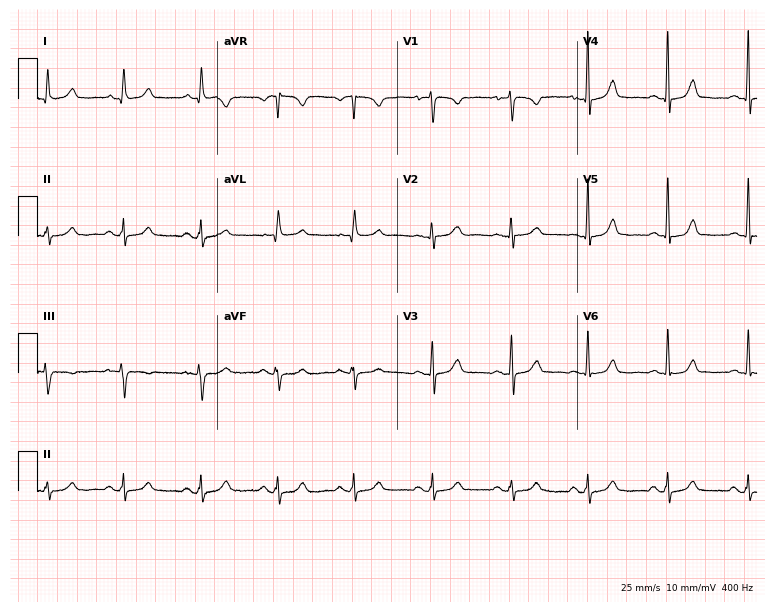
Standard 12-lead ECG recorded from a 55-year-old female patient. Read as a normal ECG.